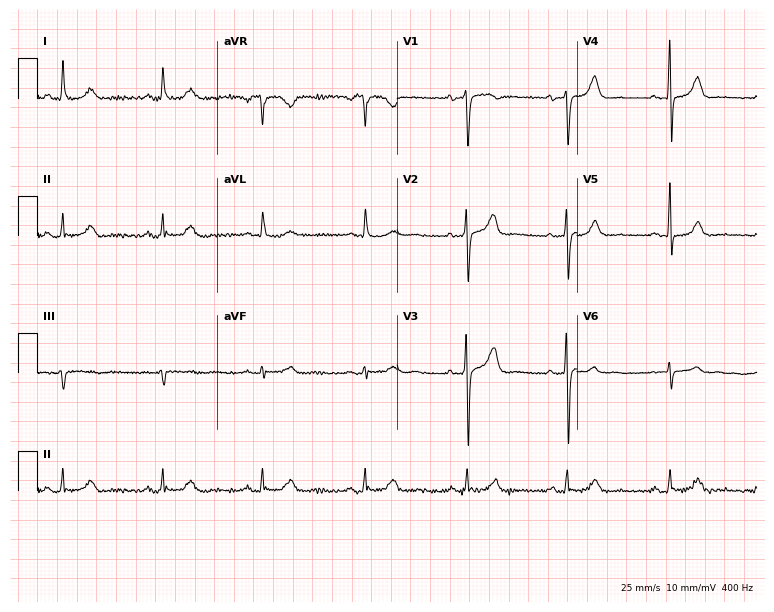
Standard 12-lead ECG recorded from a 77-year-old male (7.3-second recording at 400 Hz). None of these six findings is recorded: first-degree AV block, right bundle branch block, left bundle branch block, sinus bradycardia, atrial fibrillation, sinus tachycardia.